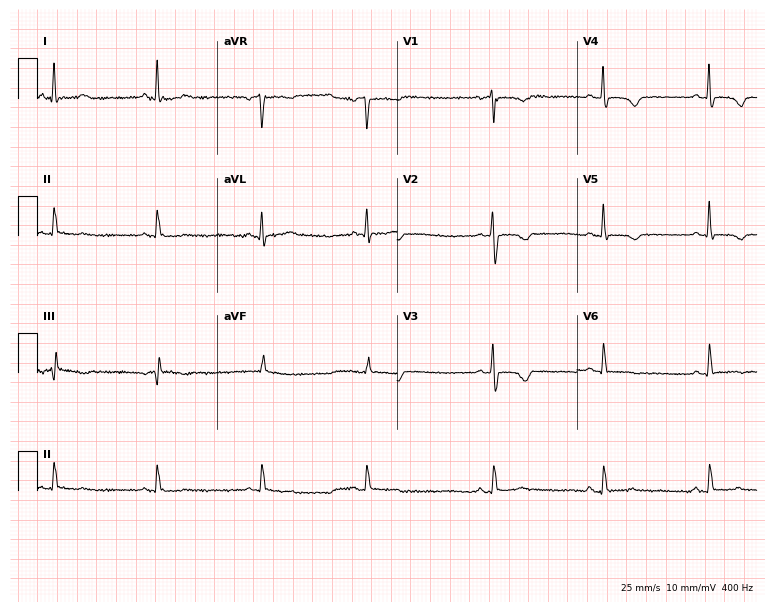
12-lead ECG from a 65-year-old female patient. No first-degree AV block, right bundle branch block (RBBB), left bundle branch block (LBBB), sinus bradycardia, atrial fibrillation (AF) or sinus tachycardia recorded for this tracing.